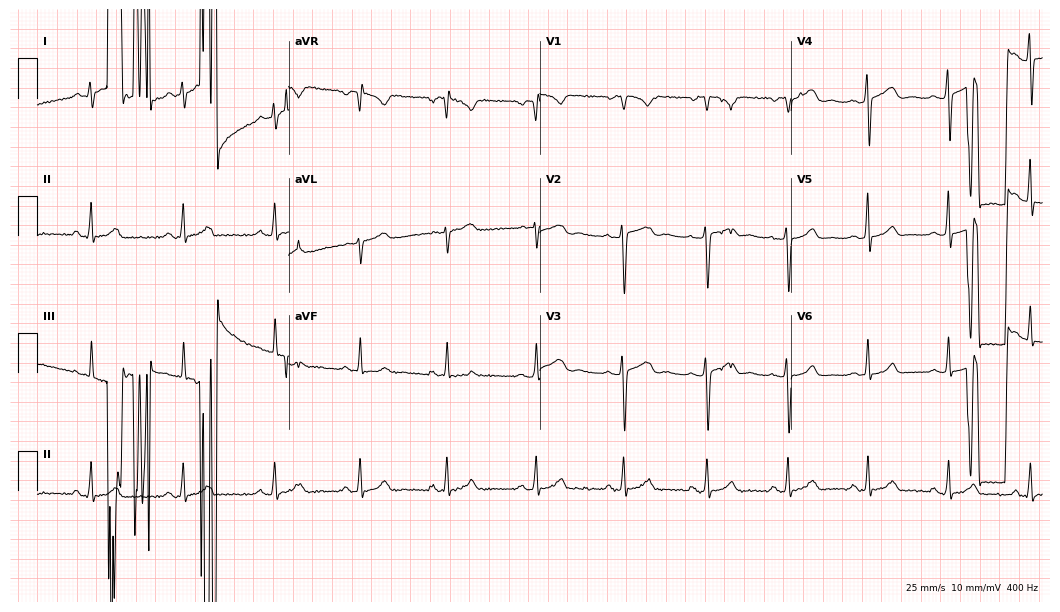
12-lead ECG (10.2-second recording at 400 Hz) from a 23-year-old female. Labelled as a normal ECG.